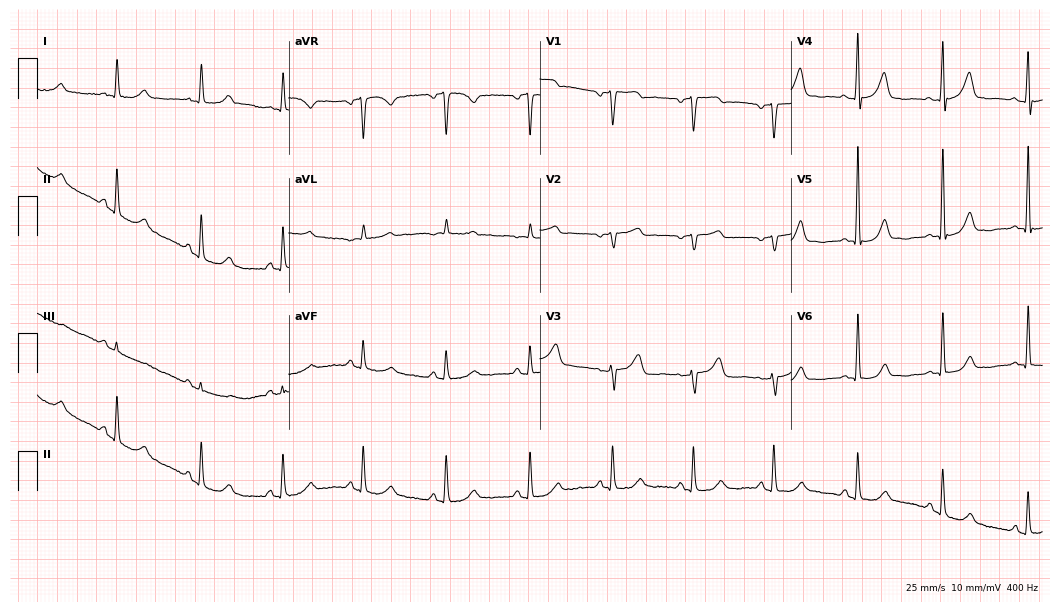
Standard 12-lead ECG recorded from a 74-year-old woman (10.2-second recording at 400 Hz). Read as a normal ECG.